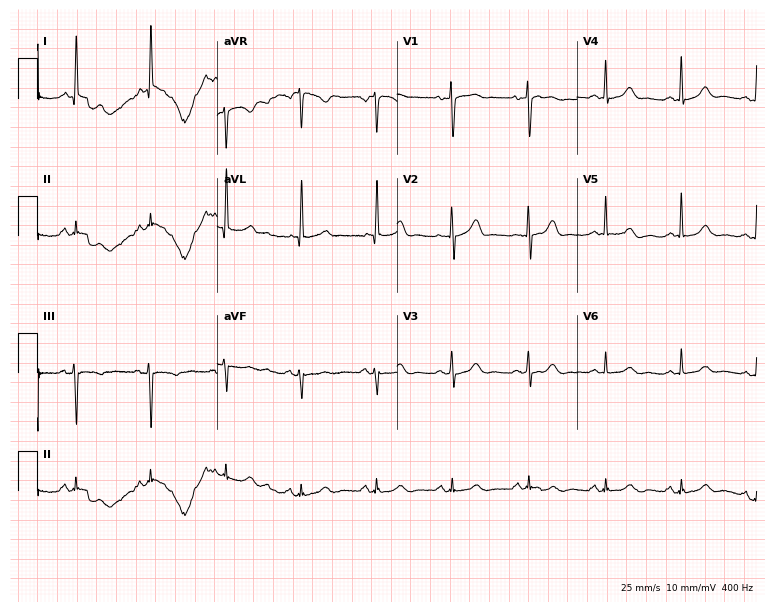
ECG — a woman, 84 years old. Labelled as a normal ECG.